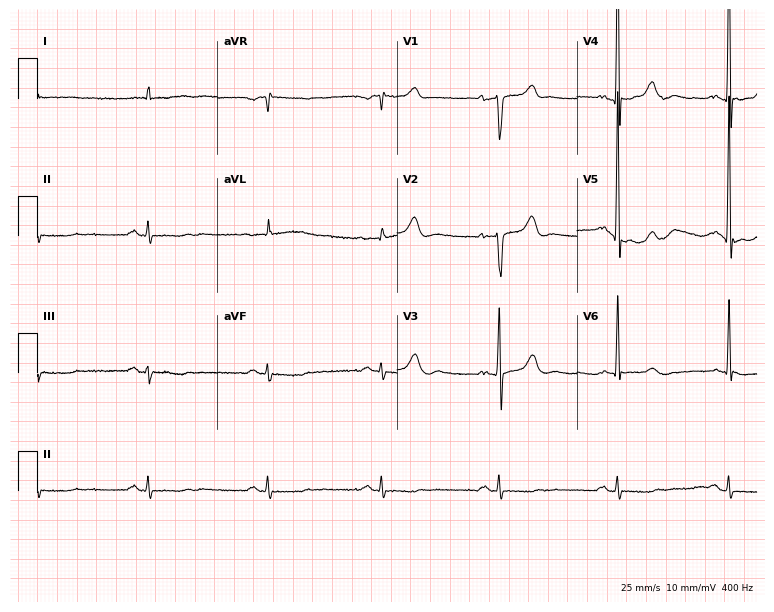
12-lead ECG from an 85-year-old male patient. Screened for six findings — first-degree AV block, right bundle branch block, left bundle branch block, sinus bradycardia, atrial fibrillation, sinus tachycardia — none is recorded. Findings outside these six are not listed.